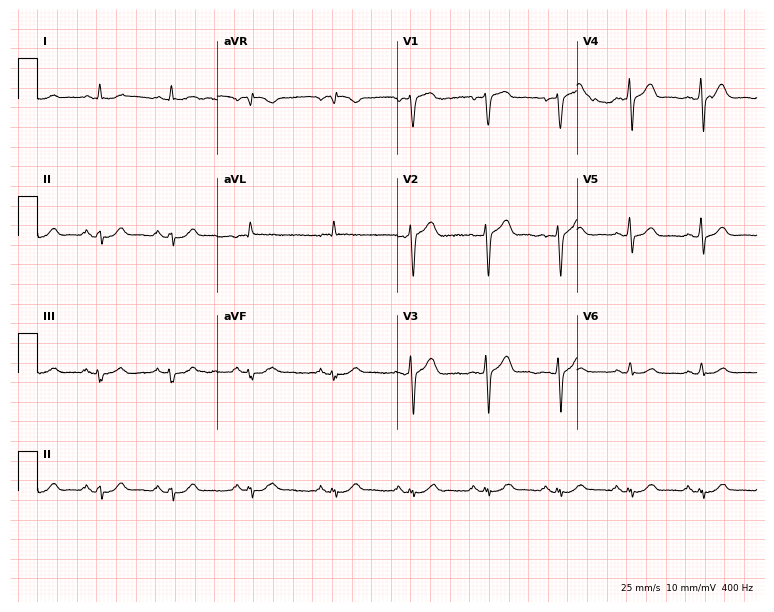
12-lead ECG from a 55-year-old man. Screened for six findings — first-degree AV block, right bundle branch block, left bundle branch block, sinus bradycardia, atrial fibrillation, sinus tachycardia — none is recorded.